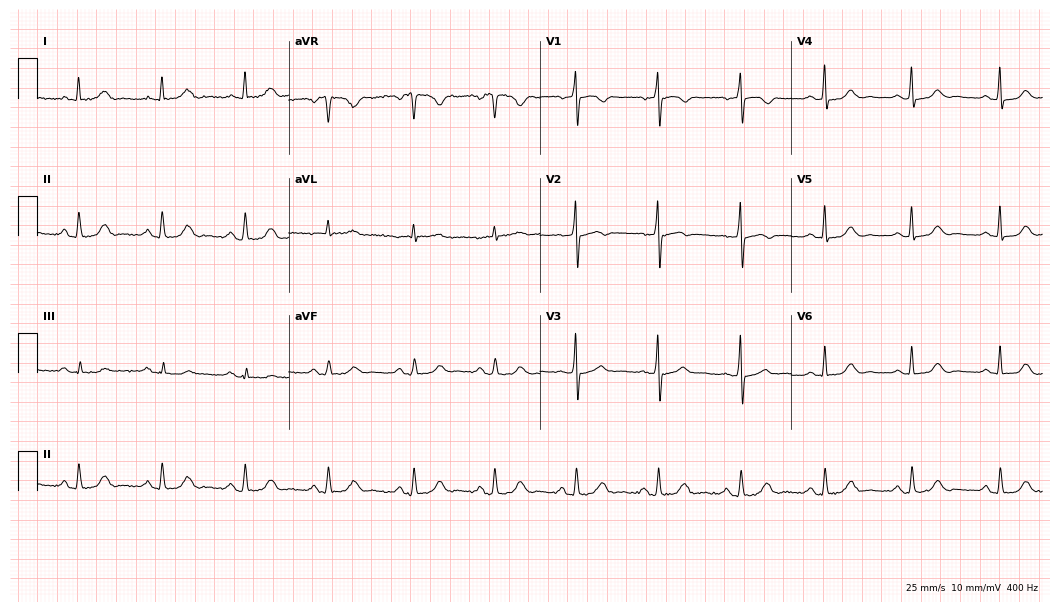
12-lead ECG from a 74-year-old female. Labelled as a normal ECG.